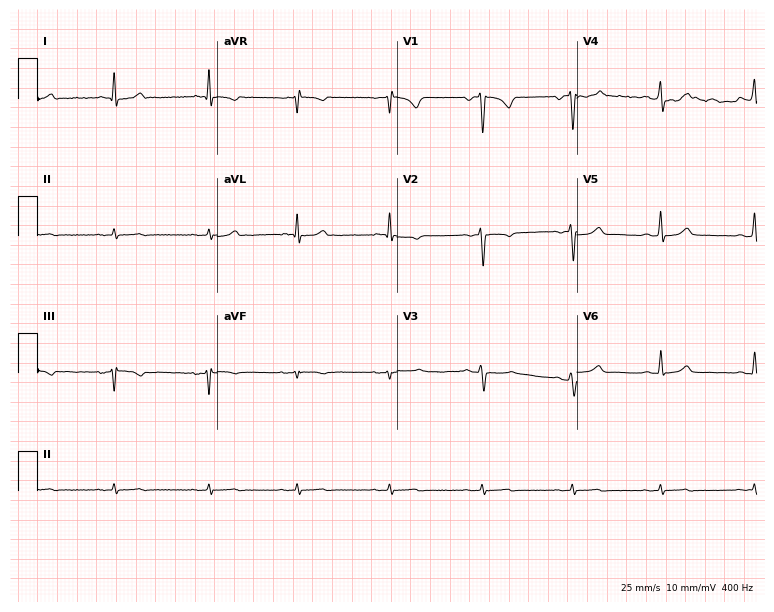
Resting 12-lead electrocardiogram (7.3-second recording at 400 Hz). Patient: a female, 31 years old. None of these six findings is recorded: first-degree AV block, right bundle branch block, left bundle branch block, sinus bradycardia, atrial fibrillation, sinus tachycardia. Only these six findings were labelled.